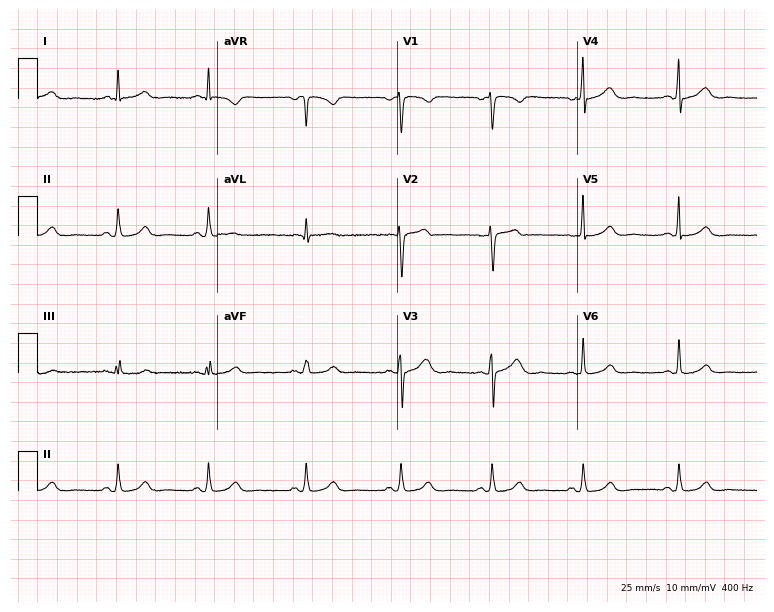
Standard 12-lead ECG recorded from a woman, 45 years old. Read as a normal ECG.